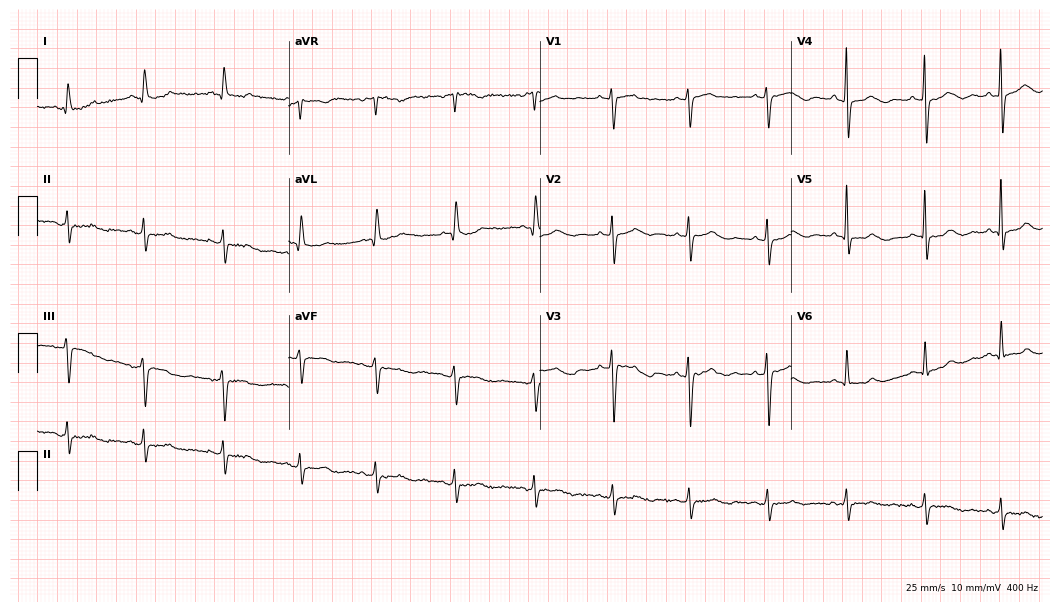
Electrocardiogram (10.2-second recording at 400 Hz), a 79-year-old female. Of the six screened findings (first-degree AV block, right bundle branch block (RBBB), left bundle branch block (LBBB), sinus bradycardia, atrial fibrillation (AF), sinus tachycardia), none is recorded.